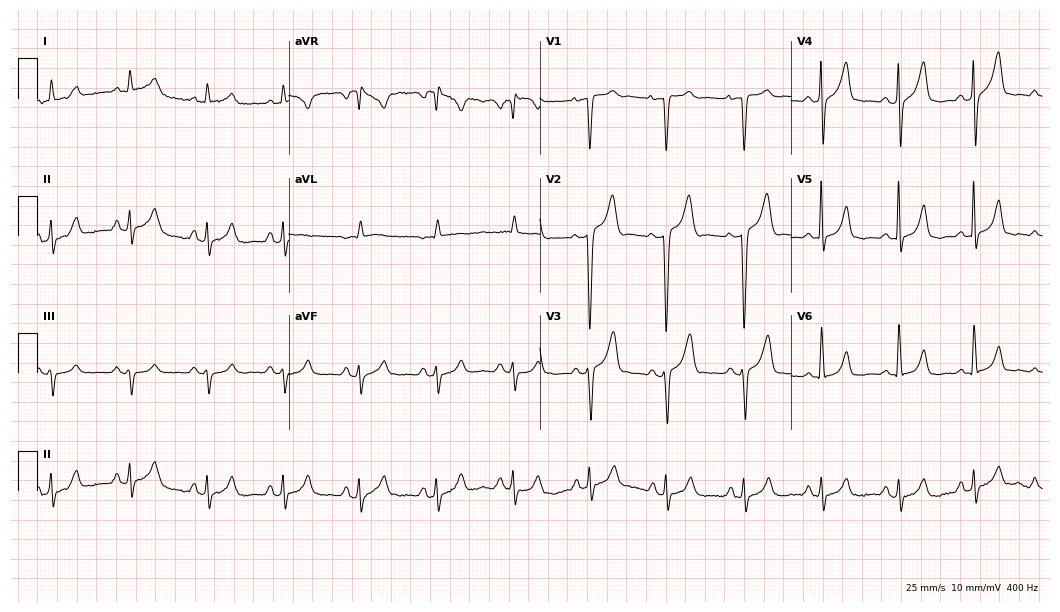
Resting 12-lead electrocardiogram. Patient: a male, 44 years old. None of these six findings is recorded: first-degree AV block, right bundle branch block, left bundle branch block, sinus bradycardia, atrial fibrillation, sinus tachycardia. Only these six findings were labelled.